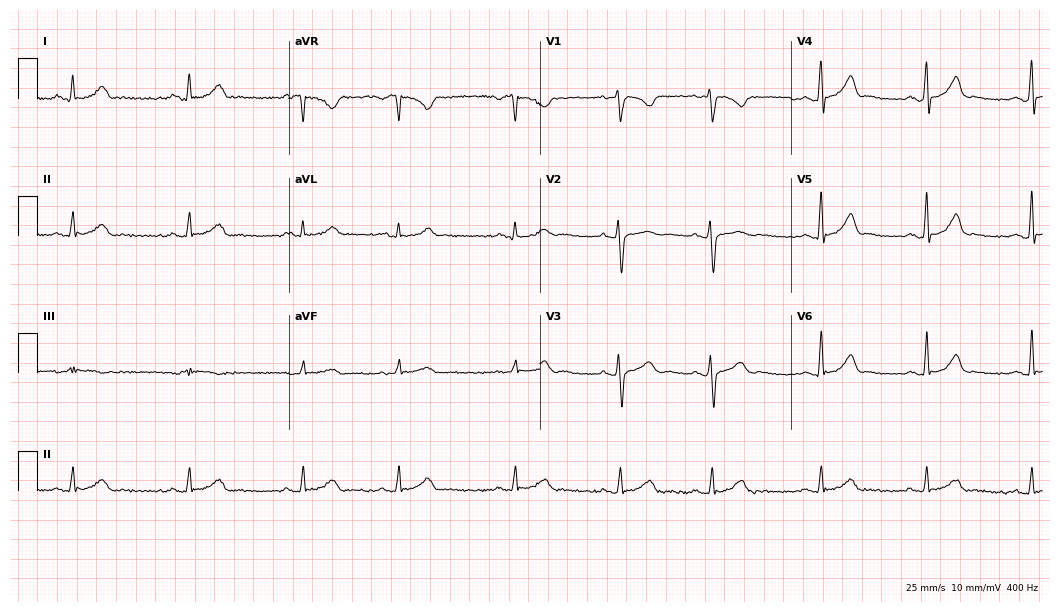
12-lead ECG from a 39-year-old woman. Recorded interpretation: within normal limits.